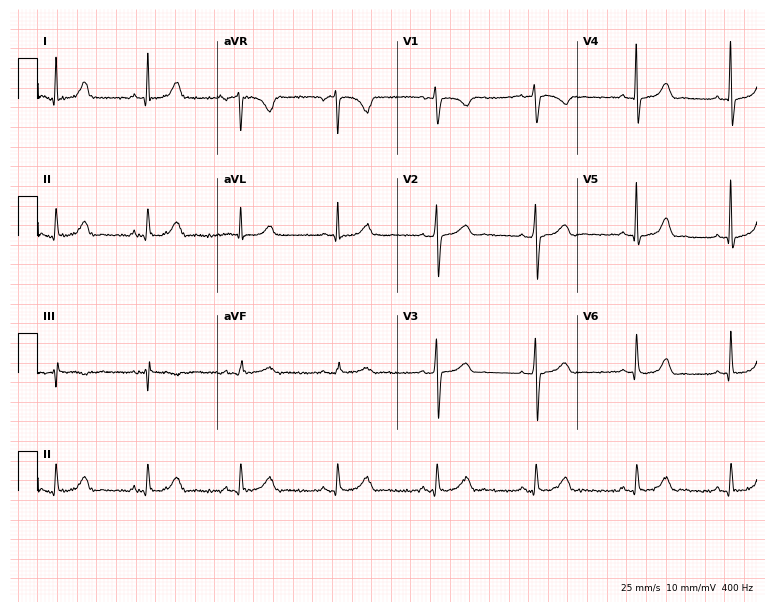
ECG (7.3-second recording at 400 Hz) — a woman, 42 years old. Labelled as a normal ECG.